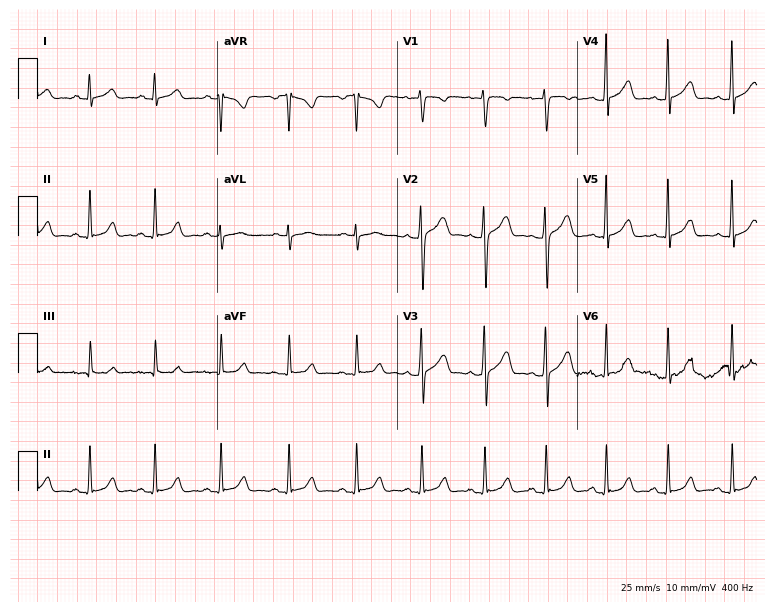
12-lead ECG from a woman, 19 years old (7.3-second recording at 400 Hz). Recorded interpretation: within normal limits.